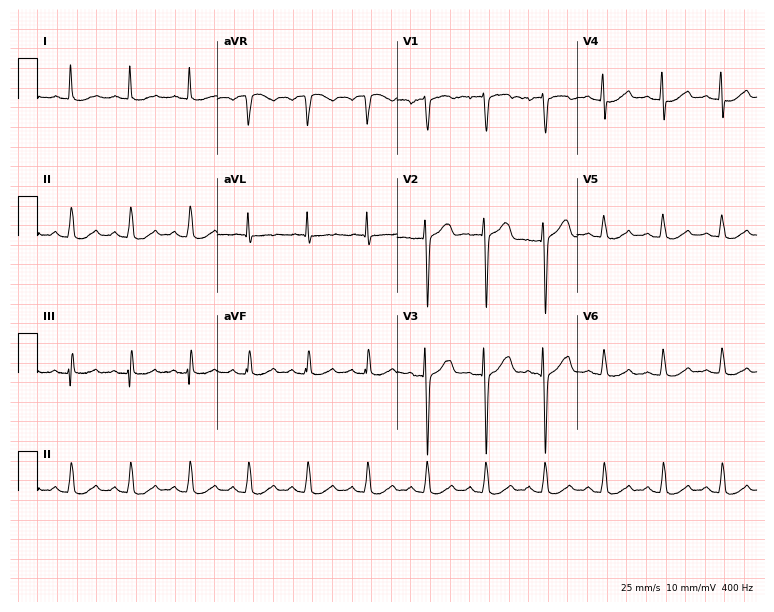
12-lead ECG from a male patient, 55 years old (7.3-second recording at 400 Hz). Recorded interpretation: within normal limits.